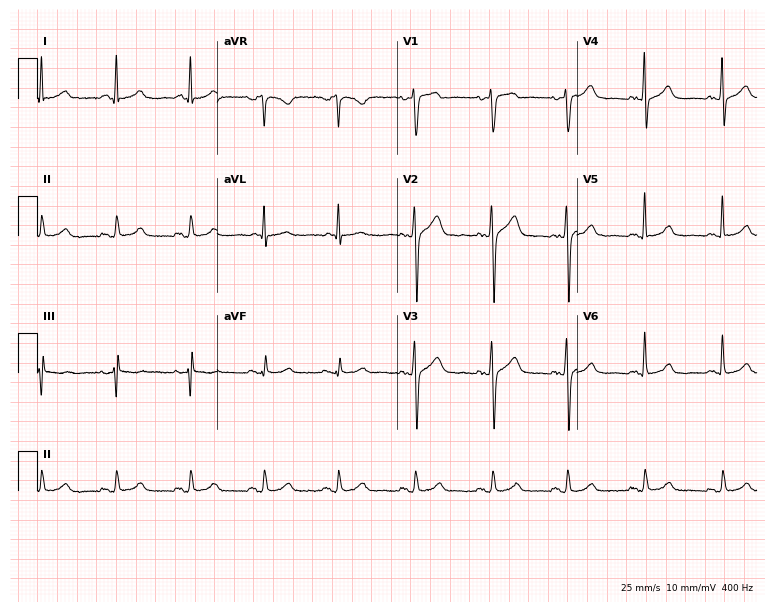
Electrocardiogram, a 47-year-old man. Overall reading on record: normal ECG.